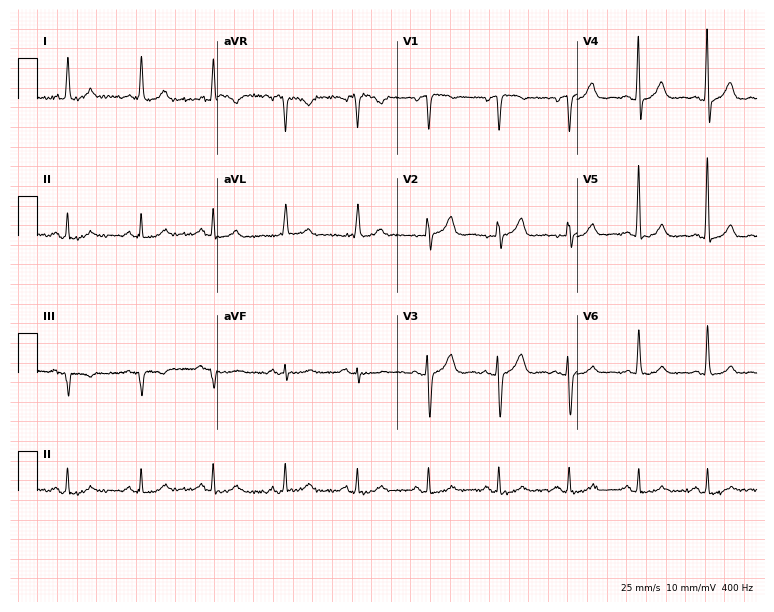
Standard 12-lead ECG recorded from a 70-year-old man (7.3-second recording at 400 Hz). Read as a normal ECG.